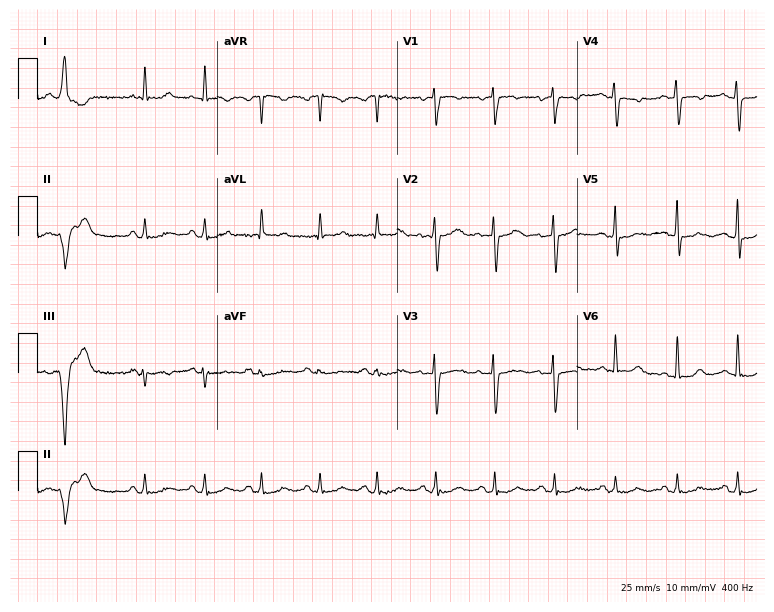
Resting 12-lead electrocardiogram (7.3-second recording at 400 Hz). Patient: a female, 63 years old. None of these six findings is recorded: first-degree AV block, right bundle branch block (RBBB), left bundle branch block (LBBB), sinus bradycardia, atrial fibrillation (AF), sinus tachycardia.